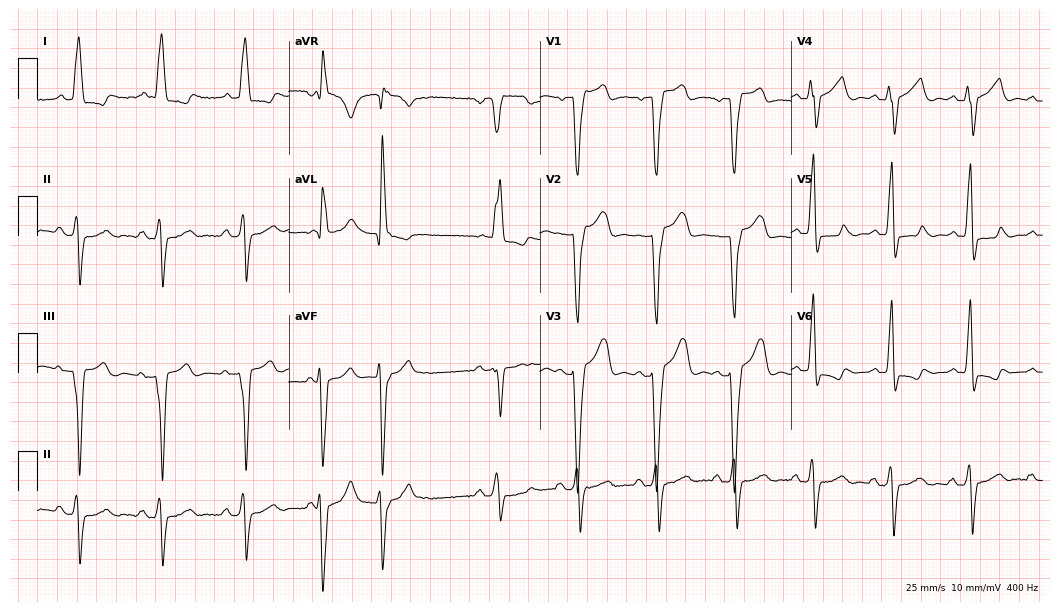
12-lead ECG from a woman, 75 years old. Findings include left bundle branch block (LBBB).